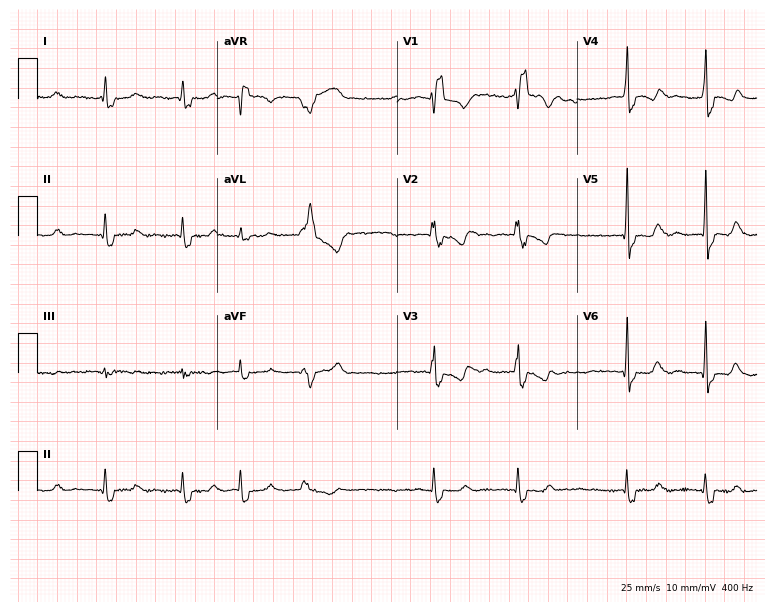
Standard 12-lead ECG recorded from a man, 66 years old (7.3-second recording at 400 Hz). The tracing shows right bundle branch block (RBBB), atrial fibrillation (AF).